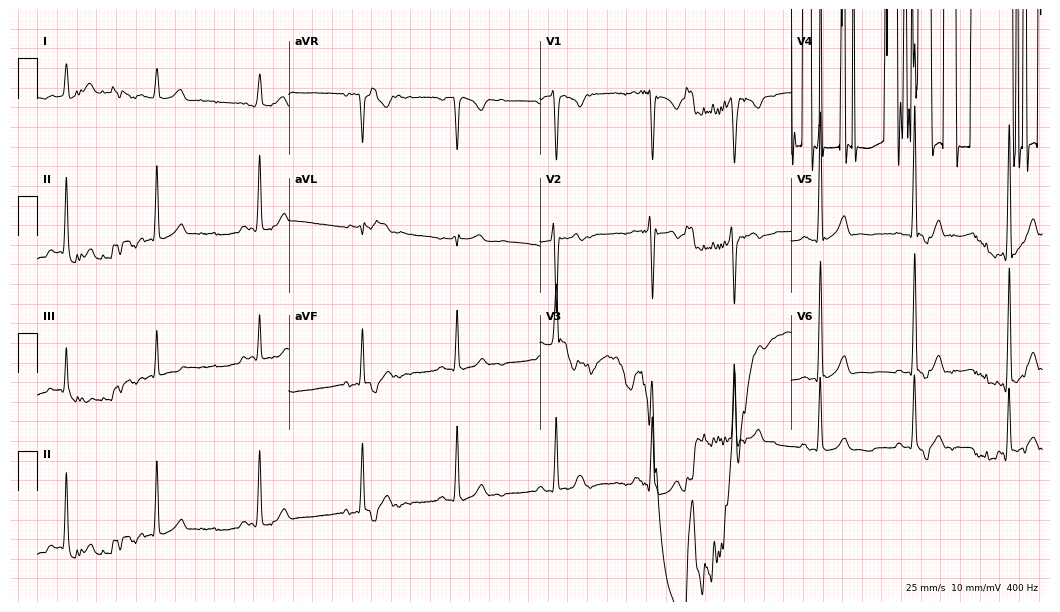
12-lead ECG (10.2-second recording at 400 Hz) from a man, 20 years old. Screened for six findings — first-degree AV block, right bundle branch block (RBBB), left bundle branch block (LBBB), sinus bradycardia, atrial fibrillation (AF), sinus tachycardia — none is recorded. Findings outside these six are not listed.